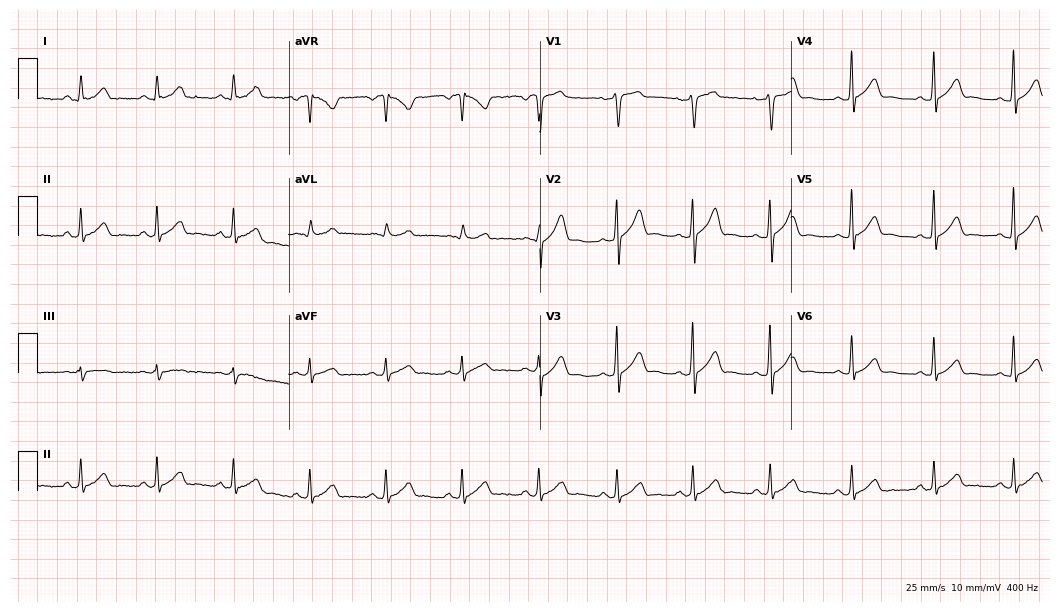
Resting 12-lead electrocardiogram (10.2-second recording at 400 Hz). Patient: a 22-year-old male. Read as a normal ECG.